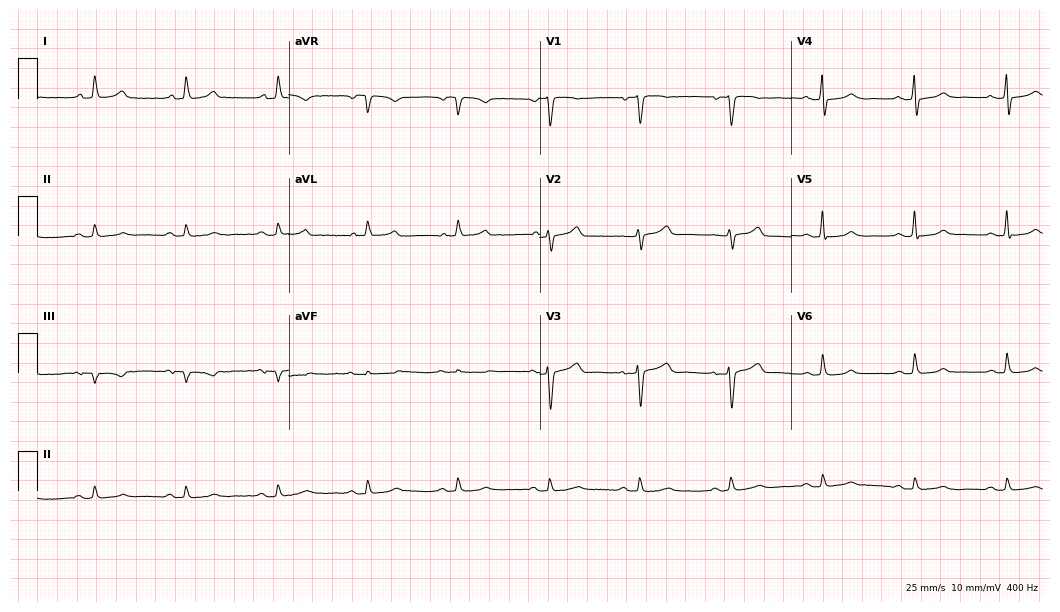
12-lead ECG (10.2-second recording at 400 Hz) from a 70-year-old woman. Labelled as a normal ECG.